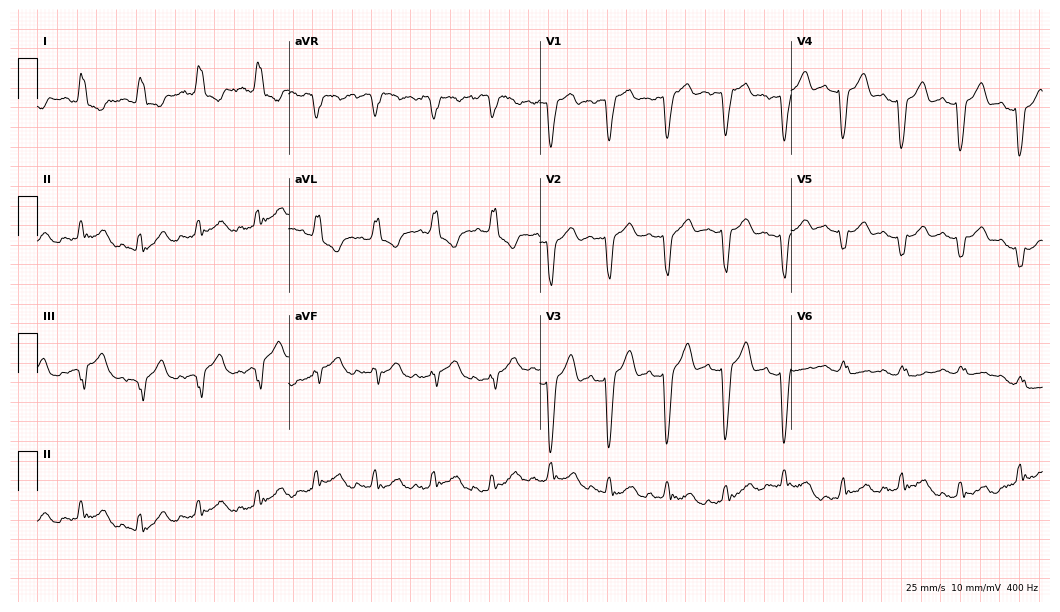
ECG — a female patient, 70 years old. Findings include left bundle branch block (LBBB), sinus tachycardia (a sinus rate of 100 beats per minute or more).